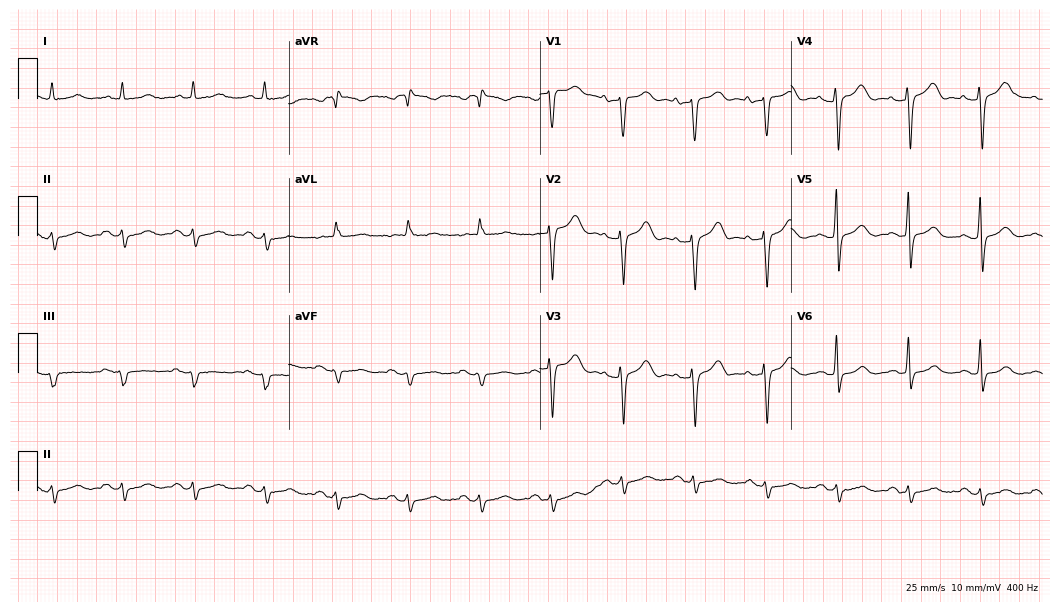
ECG (10.2-second recording at 400 Hz) — a 77-year-old male patient. Screened for six findings — first-degree AV block, right bundle branch block, left bundle branch block, sinus bradycardia, atrial fibrillation, sinus tachycardia — none is recorded. Findings outside these six are not listed.